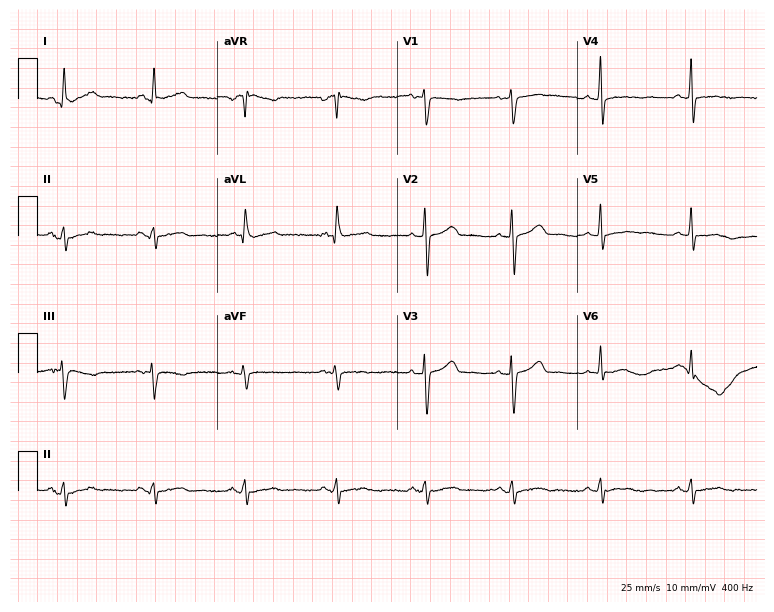
Electrocardiogram, a 63-year-old woman. Of the six screened findings (first-degree AV block, right bundle branch block (RBBB), left bundle branch block (LBBB), sinus bradycardia, atrial fibrillation (AF), sinus tachycardia), none is recorded. Other findings, if any, are not listed.